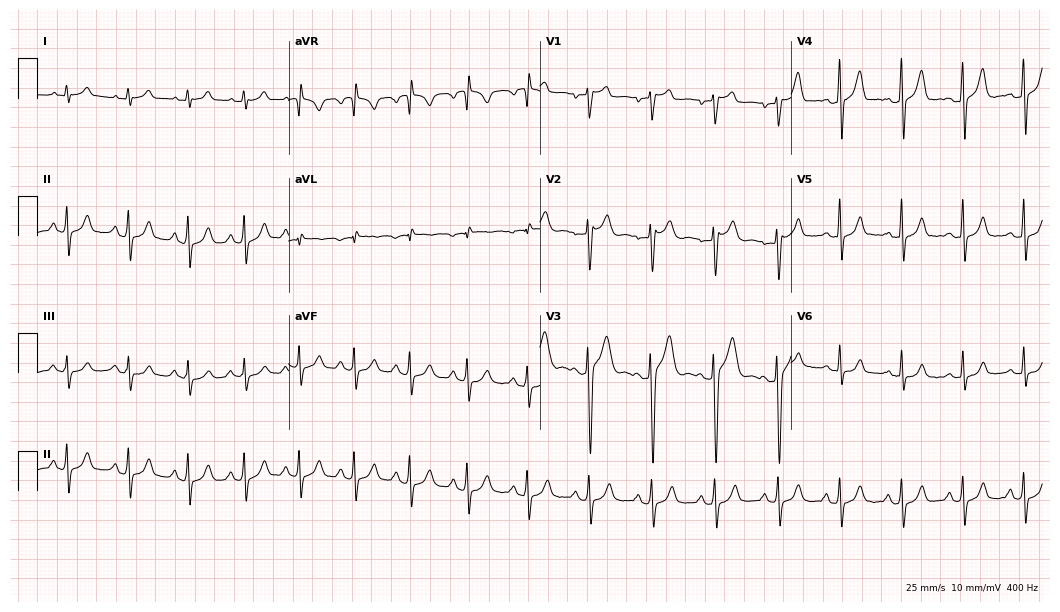
Electrocardiogram (10.2-second recording at 400 Hz), a 26-year-old man. Overall reading on record: normal ECG.